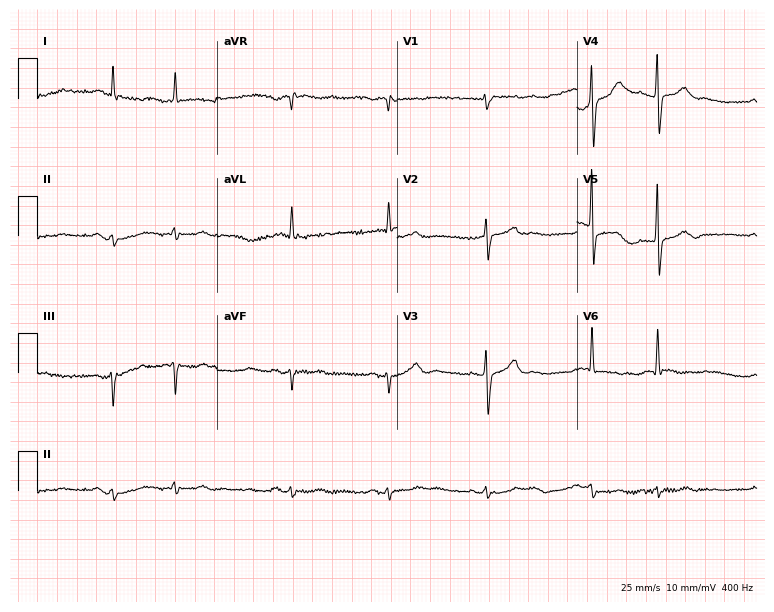
Resting 12-lead electrocardiogram. Patient: an 82-year-old male. None of these six findings is recorded: first-degree AV block, right bundle branch block, left bundle branch block, sinus bradycardia, atrial fibrillation, sinus tachycardia. Other findings, if any, are not listed.